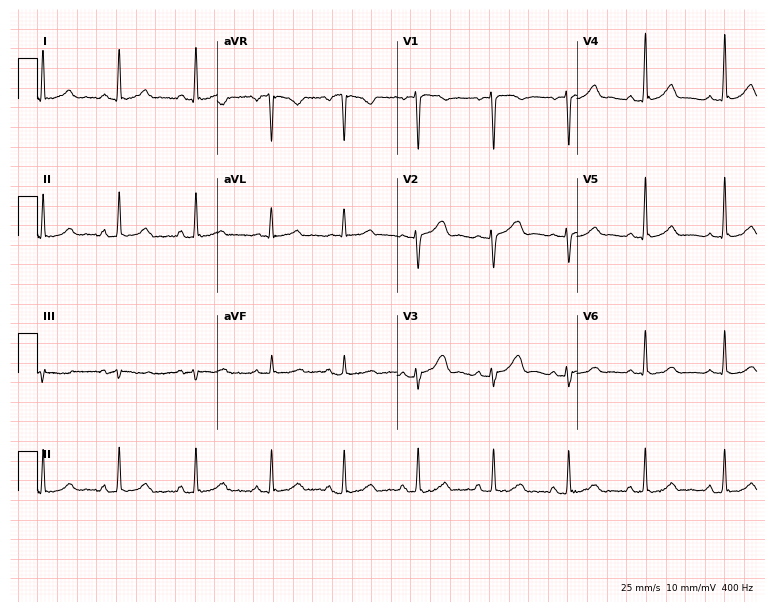
12-lead ECG from a woman, 36 years old (7.3-second recording at 400 Hz). Recorded interpretation: within normal limits.